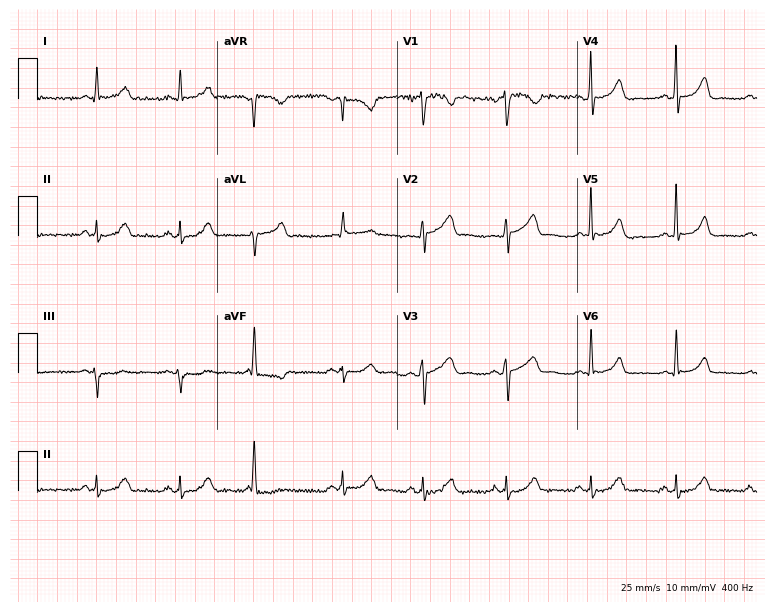
Standard 12-lead ECG recorded from a 51-year-old male patient. None of these six findings is recorded: first-degree AV block, right bundle branch block (RBBB), left bundle branch block (LBBB), sinus bradycardia, atrial fibrillation (AF), sinus tachycardia. Findings outside these six are not listed.